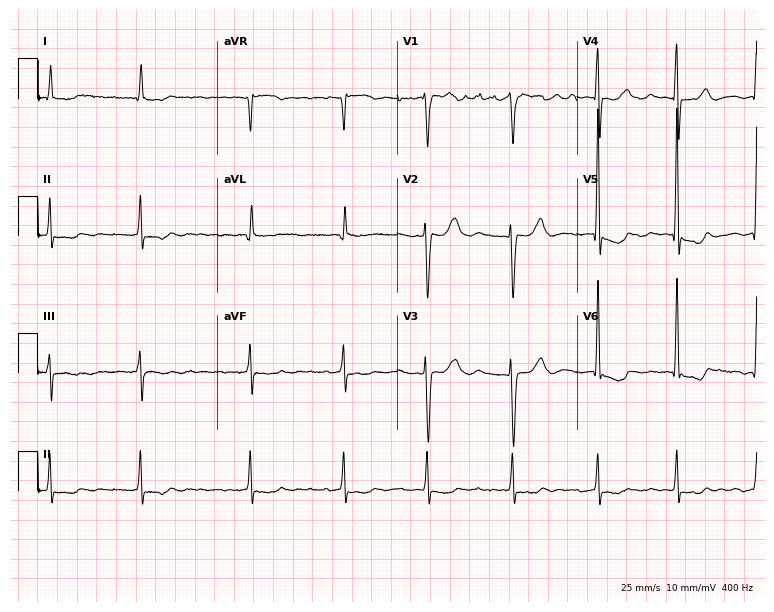
12-lead ECG from an 83-year-old female. Screened for six findings — first-degree AV block, right bundle branch block (RBBB), left bundle branch block (LBBB), sinus bradycardia, atrial fibrillation (AF), sinus tachycardia — none is recorded. Other findings, if any, are not listed.